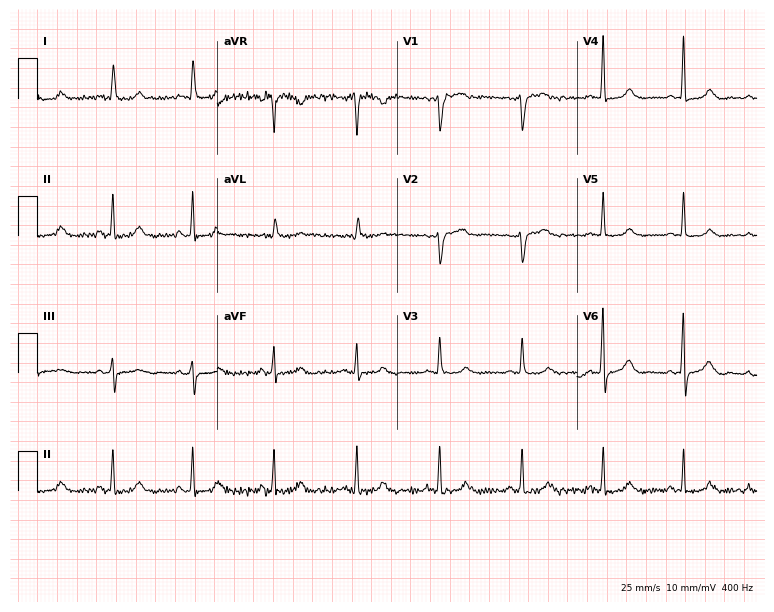
ECG (7.3-second recording at 400 Hz) — a female, 61 years old. Screened for six findings — first-degree AV block, right bundle branch block (RBBB), left bundle branch block (LBBB), sinus bradycardia, atrial fibrillation (AF), sinus tachycardia — none is recorded. Only these six findings were labelled.